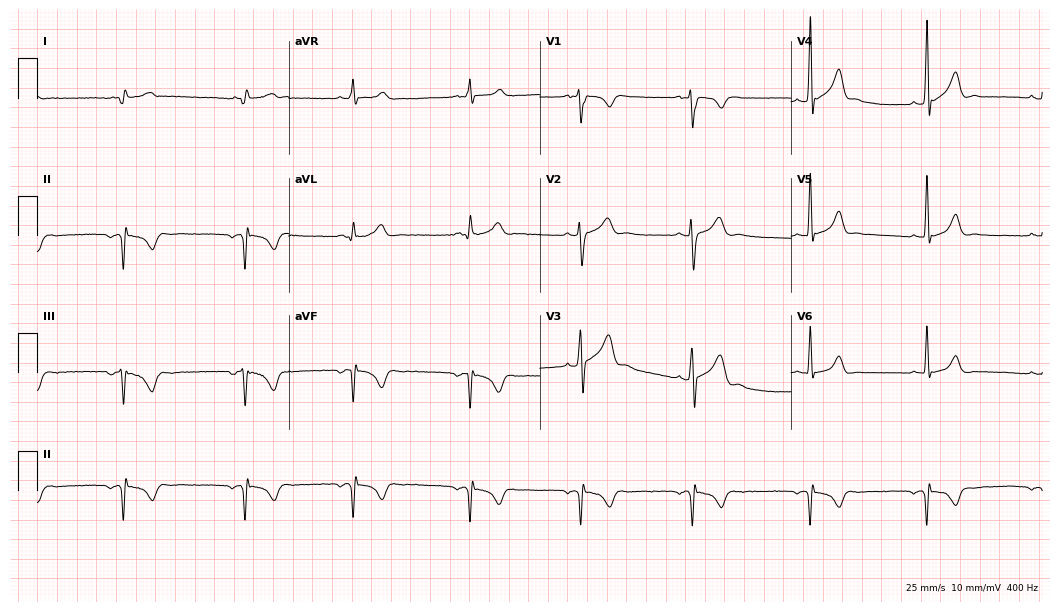
Electrocardiogram, a 19-year-old man. Overall reading on record: normal ECG.